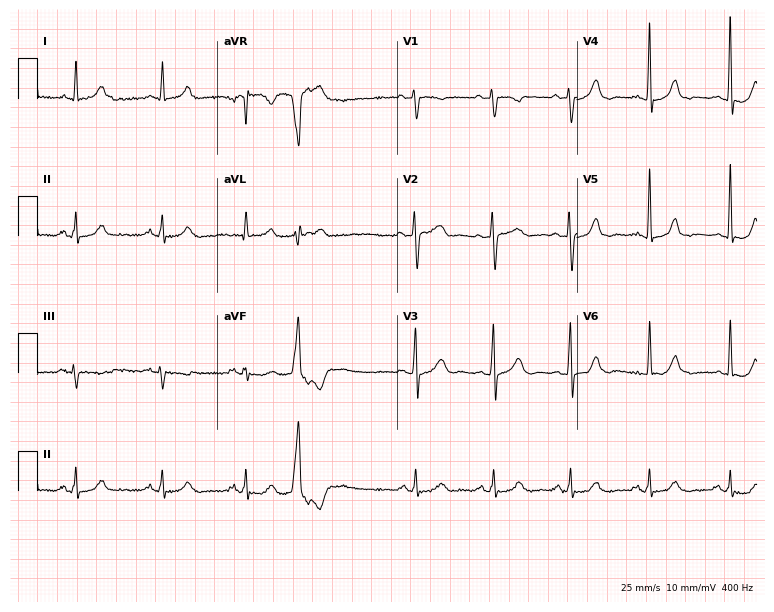
Electrocardiogram (7.3-second recording at 400 Hz), a woman, 64 years old. Overall reading on record: normal ECG.